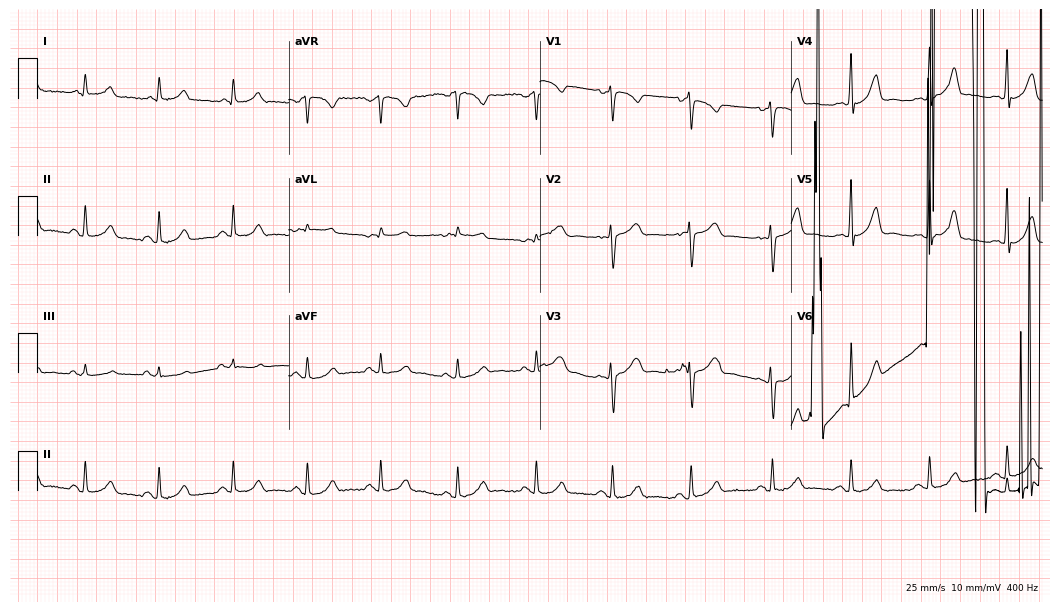
Resting 12-lead electrocardiogram (10.2-second recording at 400 Hz). Patient: a 49-year-old female. None of these six findings is recorded: first-degree AV block, right bundle branch block, left bundle branch block, sinus bradycardia, atrial fibrillation, sinus tachycardia.